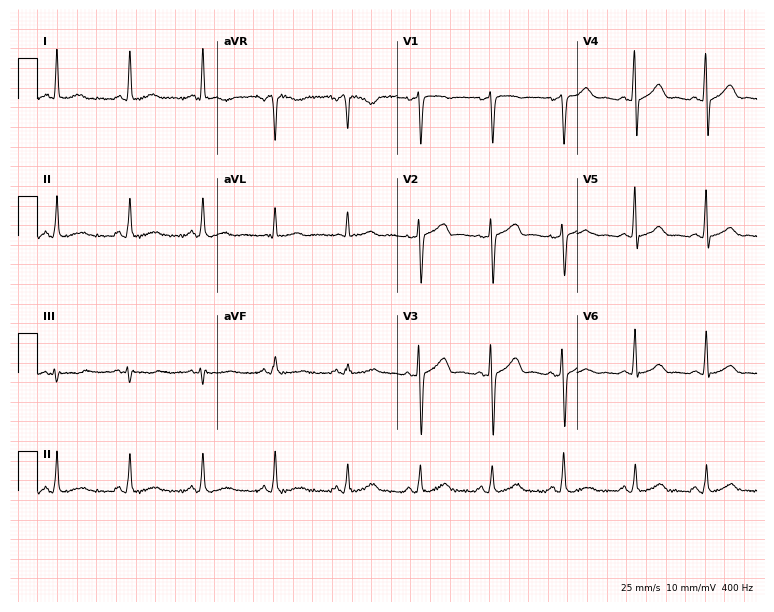
Resting 12-lead electrocardiogram (7.3-second recording at 400 Hz). Patient: a 58-year-old woman. None of these six findings is recorded: first-degree AV block, right bundle branch block, left bundle branch block, sinus bradycardia, atrial fibrillation, sinus tachycardia.